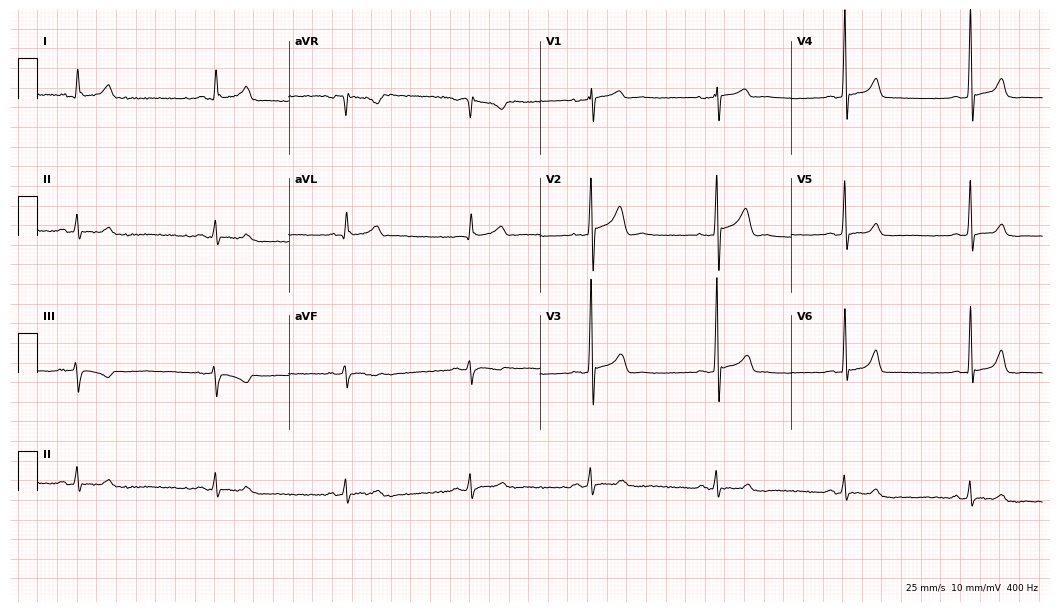
Resting 12-lead electrocardiogram (10.2-second recording at 400 Hz). Patient: a man, 47 years old. The tracing shows sinus bradycardia (a sinus rate of 50 beats per minute or less).